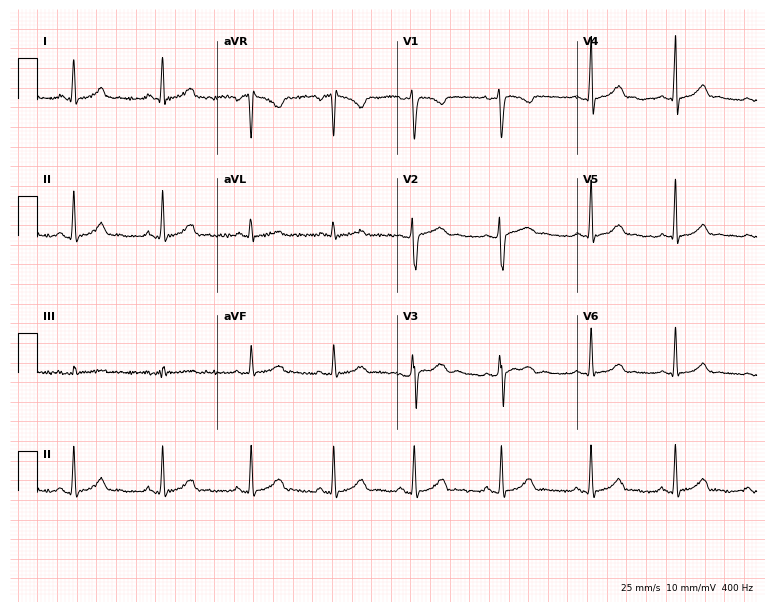
Resting 12-lead electrocardiogram. Patient: a woman, 27 years old. Read as a normal ECG.